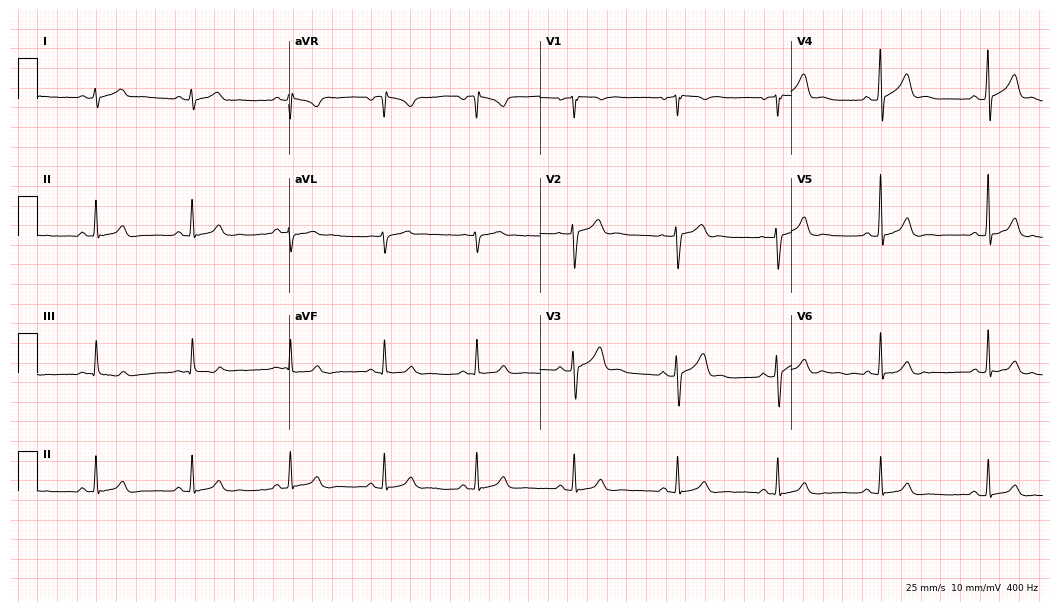
ECG — a 40-year-old male. Labelled as a normal ECG.